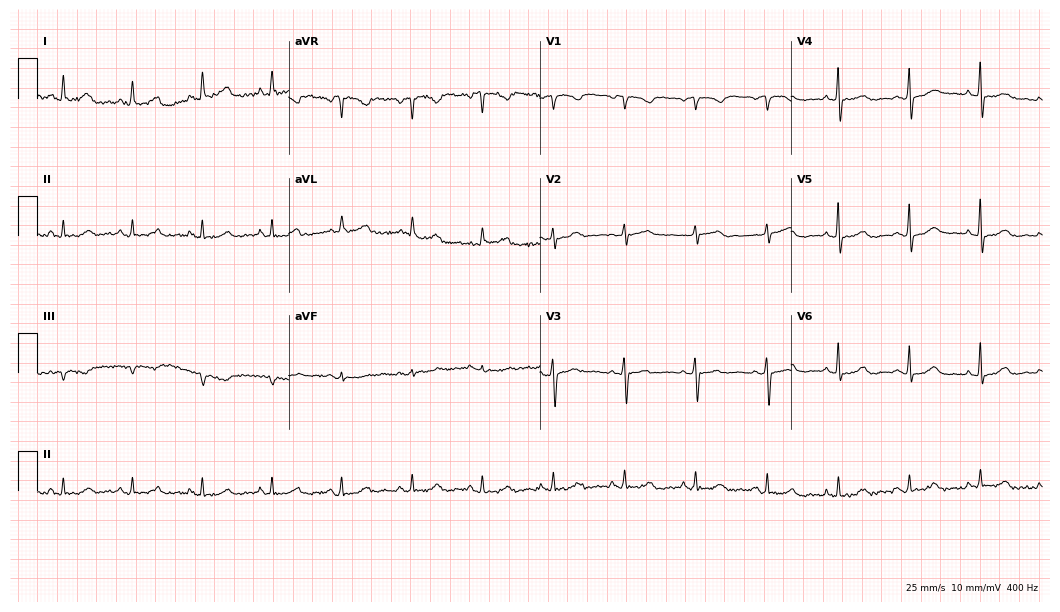
Resting 12-lead electrocardiogram (10.2-second recording at 400 Hz). Patient: a woman, 71 years old. Read as a normal ECG.